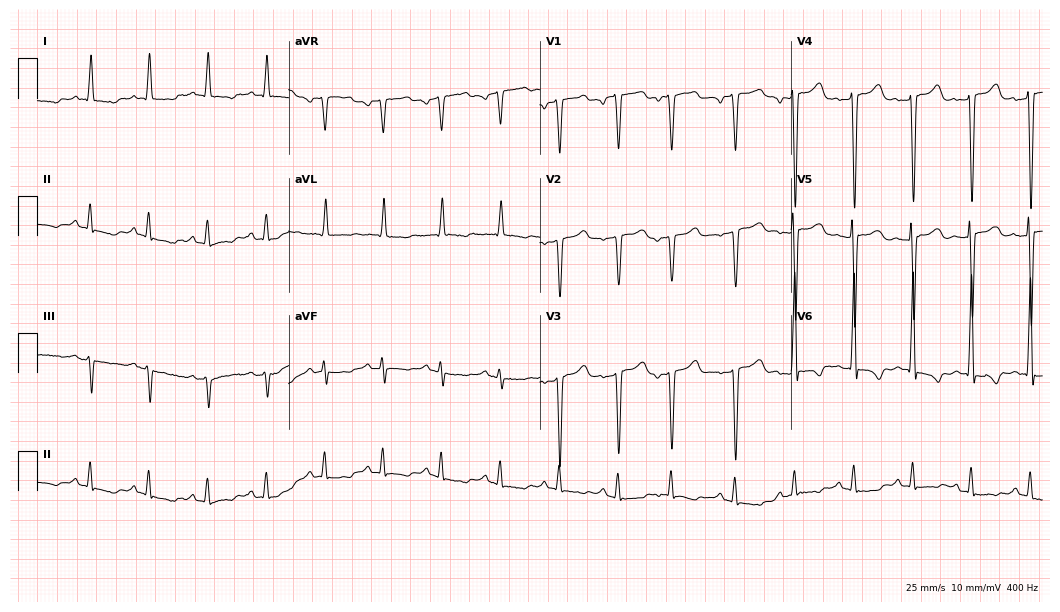
Resting 12-lead electrocardiogram. Patient: a male, 72 years old. None of these six findings is recorded: first-degree AV block, right bundle branch block, left bundle branch block, sinus bradycardia, atrial fibrillation, sinus tachycardia. Other findings, if any, are not listed.